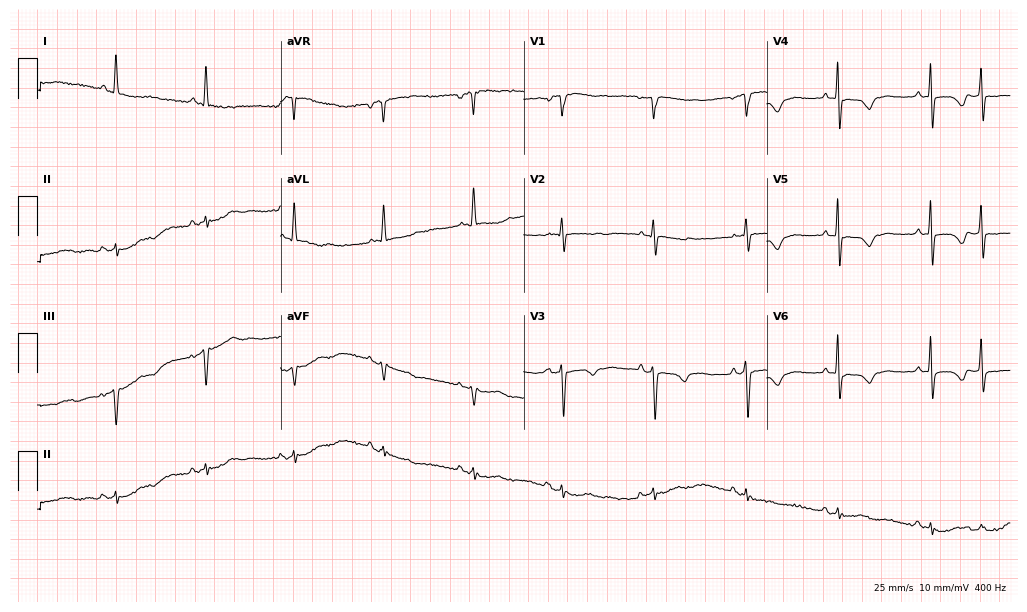
Standard 12-lead ECG recorded from a female, 83 years old. None of these six findings is recorded: first-degree AV block, right bundle branch block, left bundle branch block, sinus bradycardia, atrial fibrillation, sinus tachycardia. Only these six findings were labelled.